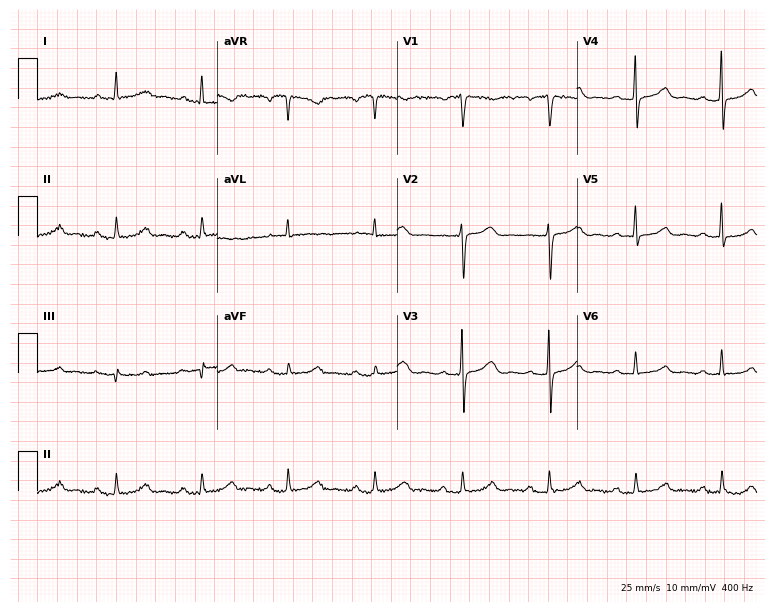
12-lead ECG from a 50-year-old woman. No first-degree AV block, right bundle branch block, left bundle branch block, sinus bradycardia, atrial fibrillation or sinus tachycardia recorded for this tracing.